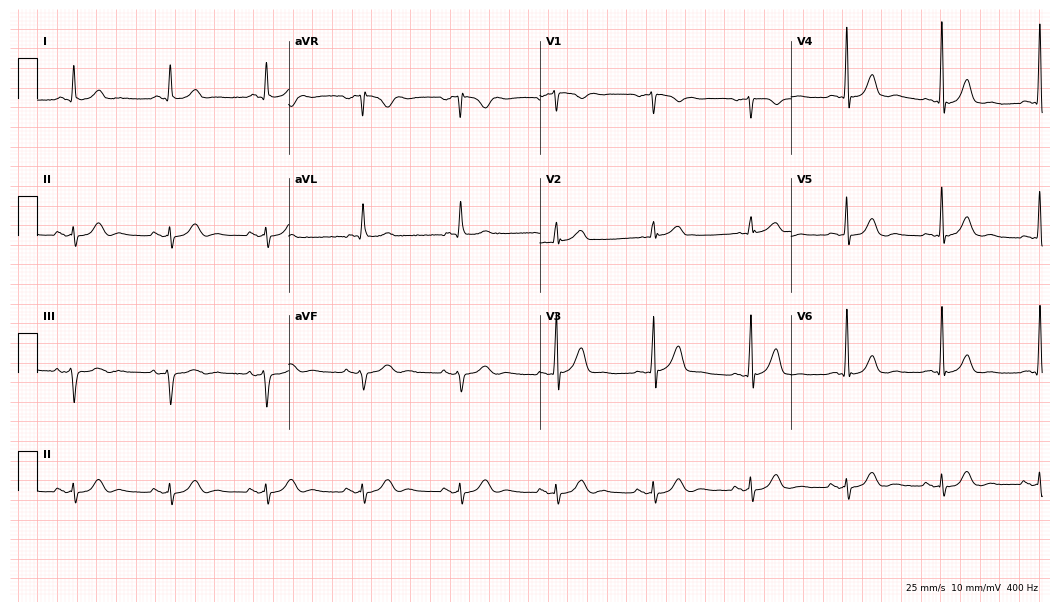
12-lead ECG from a 62-year-old man. Recorded interpretation: within normal limits.